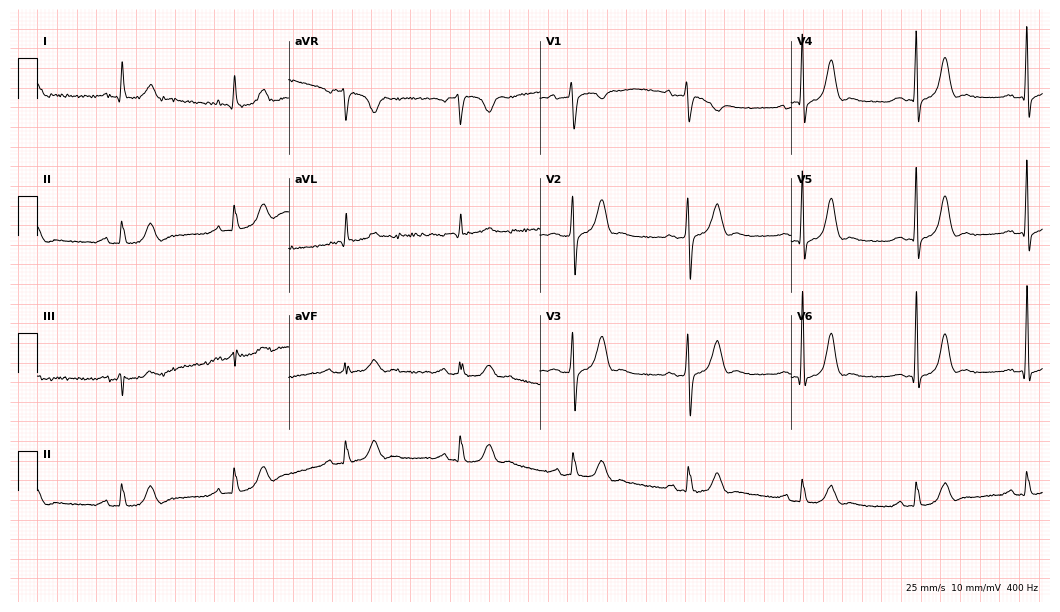
Electrocardiogram (10.2-second recording at 400 Hz), a male, 71 years old. Of the six screened findings (first-degree AV block, right bundle branch block, left bundle branch block, sinus bradycardia, atrial fibrillation, sinus tachycardia), none is recorded. Other findings, if any, are not listed.